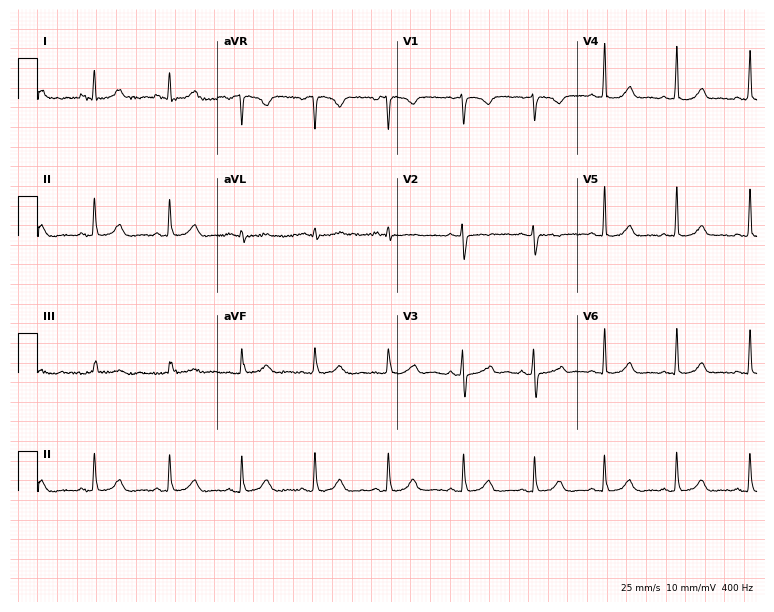
Standard 12-lead ECG recorded from a woman, 30 years old. Read as a normal ECG.